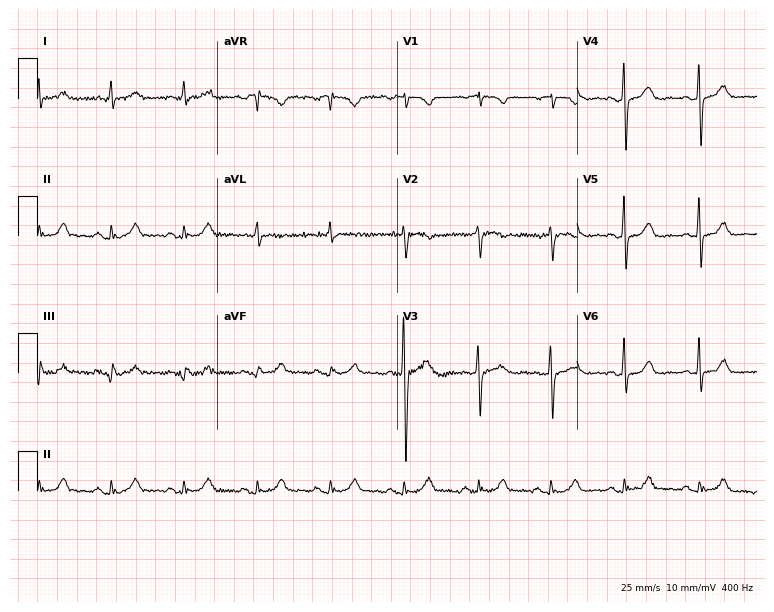
Electrocardiogram, a female, 69 years old. Overall reading on record: normal ECG.